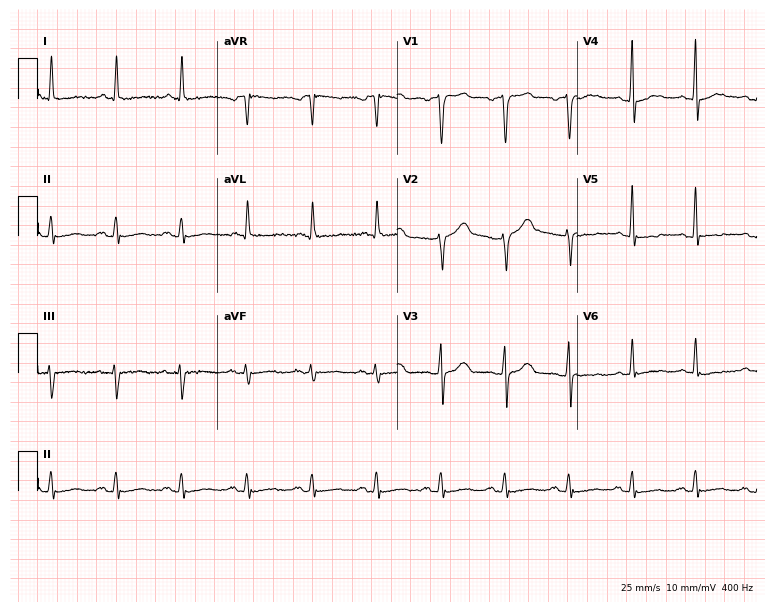
Resting 12-lead electrocardiogram (7.3-second recording at 400 Hz). Patient: a 59-year-old man. None of these six findings is recorded: first-degree AV block, right bundle branch block, left bundle branch block, sinus bradycardia, atrial fibrillation, sinus tachycardia. Findings outside these six are not listed.